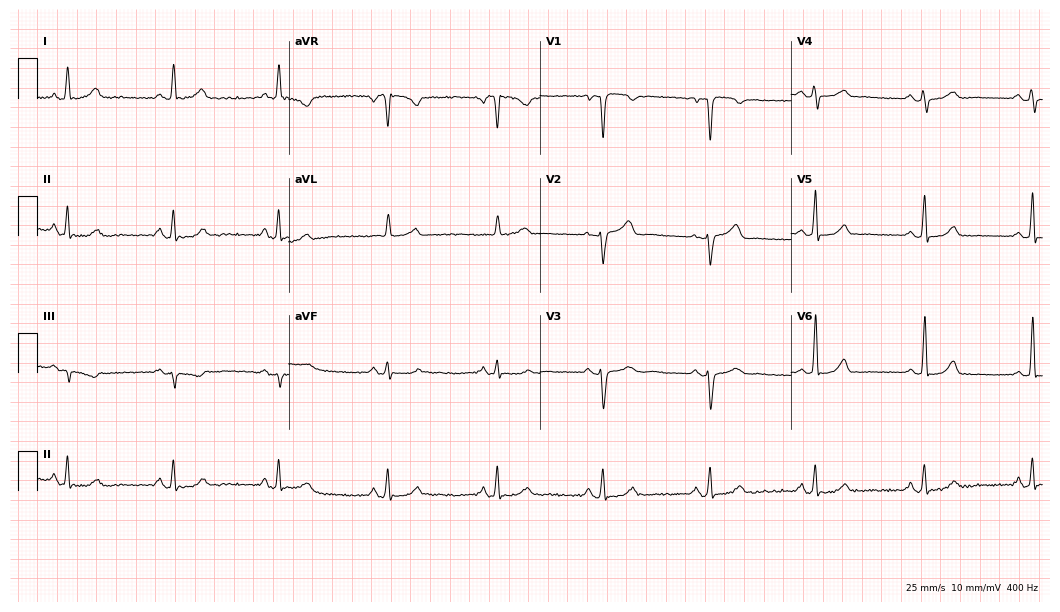
Resting 12-lead electrocardiogram (10.2-second recording at 400 Hz). Patient: a 53-year-old female. Read as a normal ECG.